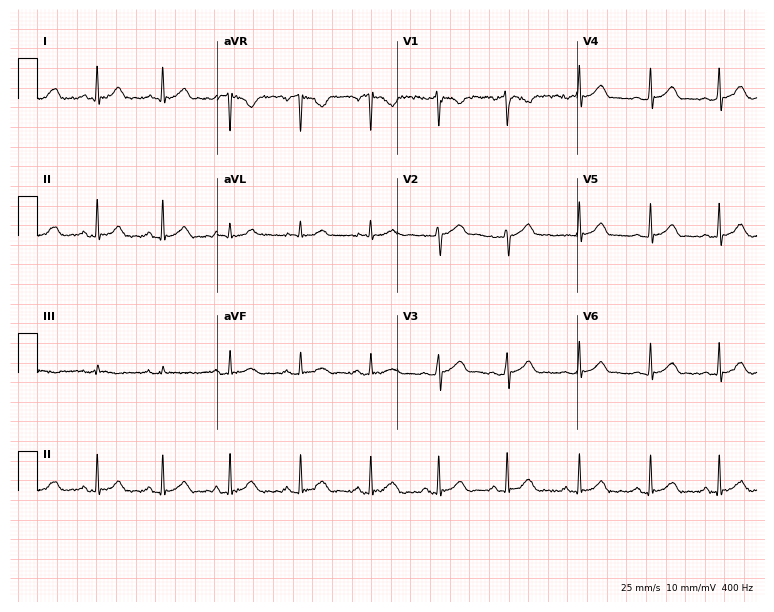
12-lead ECG from a 36-year-old female. Recorded interpretation: within normal limits.